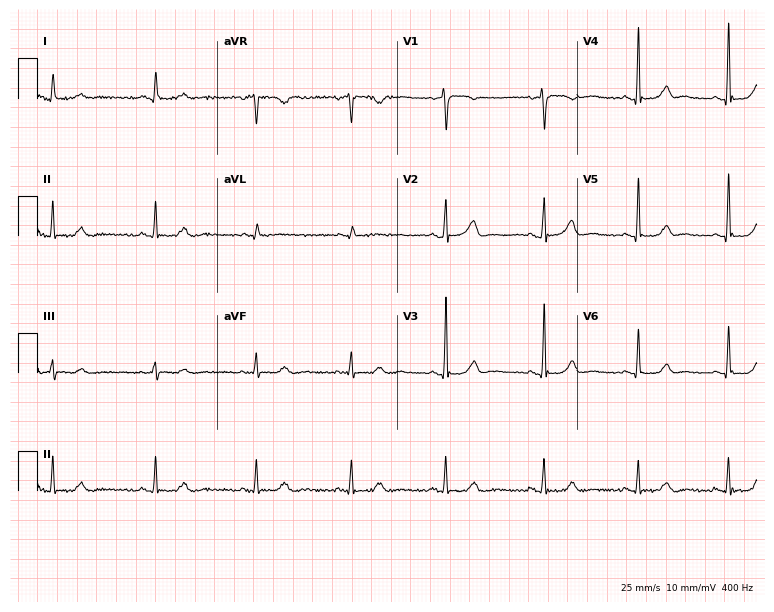
Electrocardiogram (7.3-second recording at 400 Hz), a female, 56 years old. Overall reading on record: normal ECG.